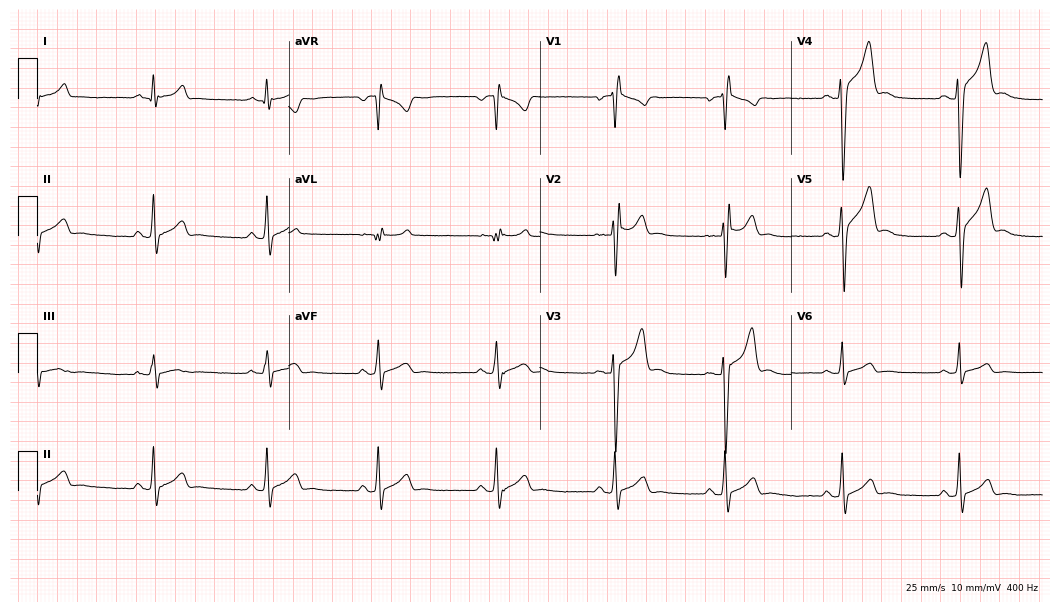
Resting 12-lead electrocardiogram (10.2-second recording at 400 Hz). Patient: a 20-year-old male. The tracing shows right bundle branch block.